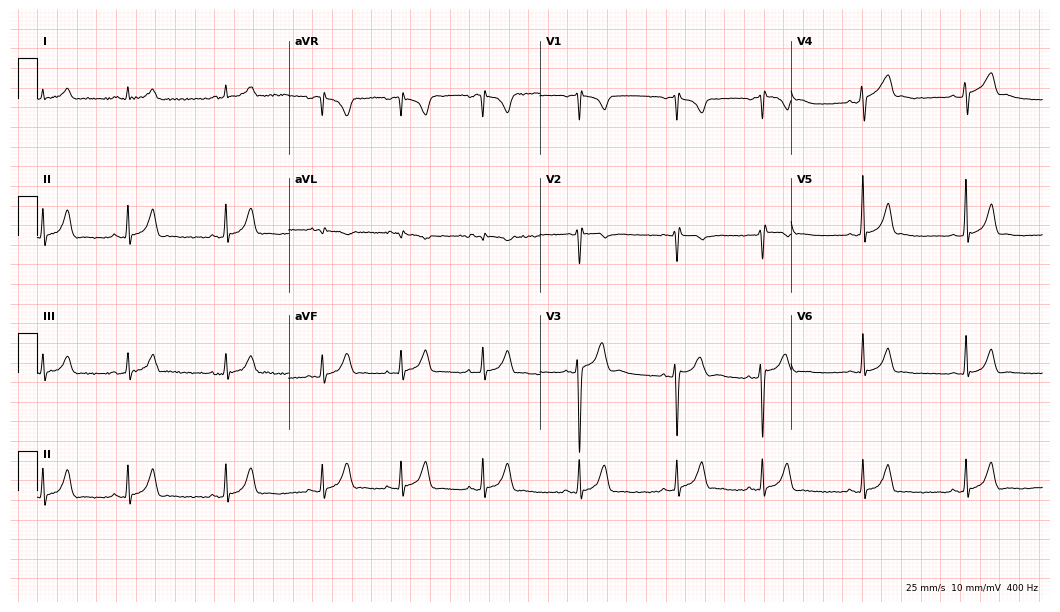
Resting 12-lead electrocardiogram (10.2-second recording at 400 Hz). Patient: a man, 17 years old. None of these six findings is recorded: first-degree AV block, right bundle branch block, left bundle branch block, sinus bradycardia, atrial fibrillation, sinus tachycardia.